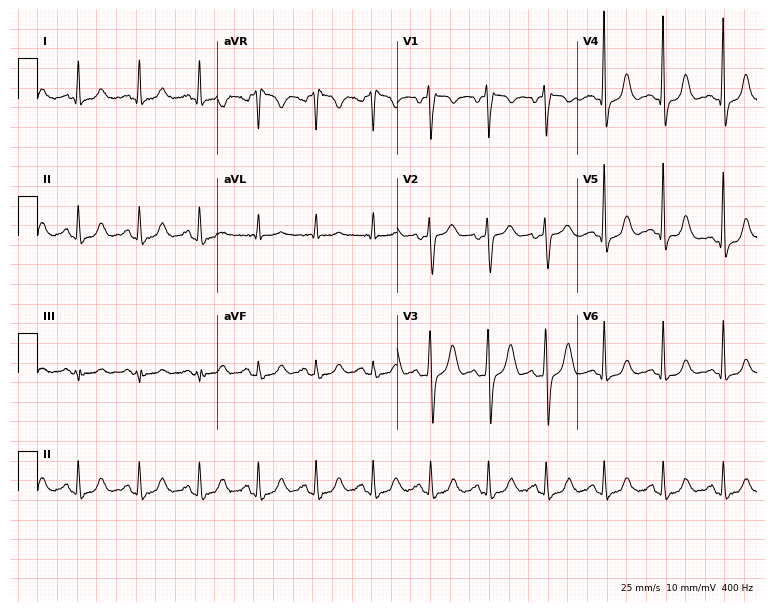
Resting 12-lead electrocardiogram (7.3-second recording at 400 Hz). Patient: a female, 37 years old. None of these six findings is recorded: first-degree AV block, right bundle branch block, left bundle branch block, sinus bradycardia, atrial fibrillation, sinus tachycardia.